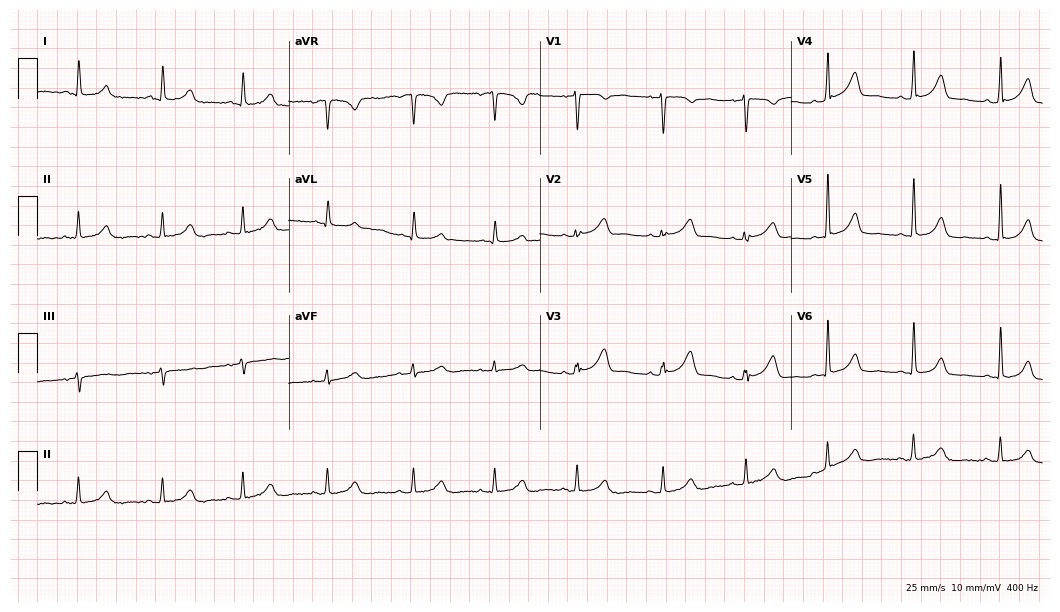
Standard 12-lead ECG recorded from a 53-year-old woman. Read as a normal ECG.